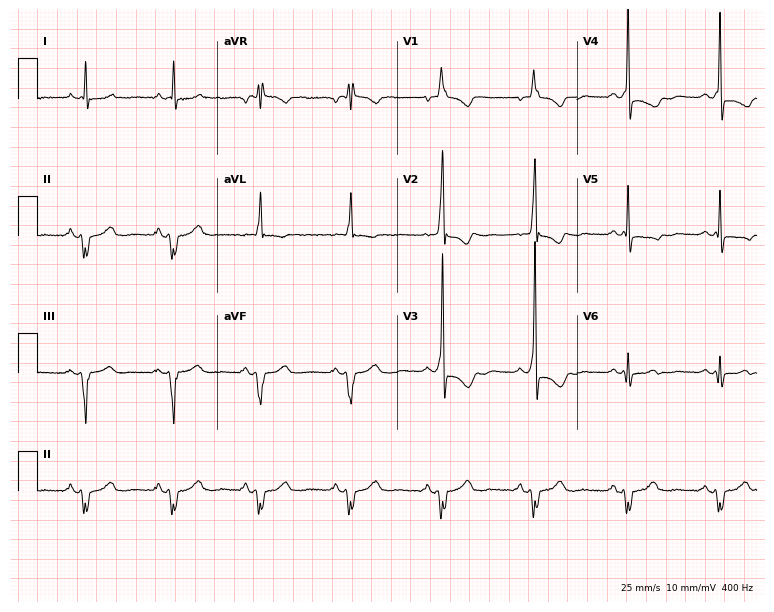
Electrocardiogram, a female patient, 66 years old. Of the six screened findings (first-degree AV block, right bundle branch block, left bundle branch block, sinus bradycardia, atrial fibrillation, sinus tachycardia), none is recorded.